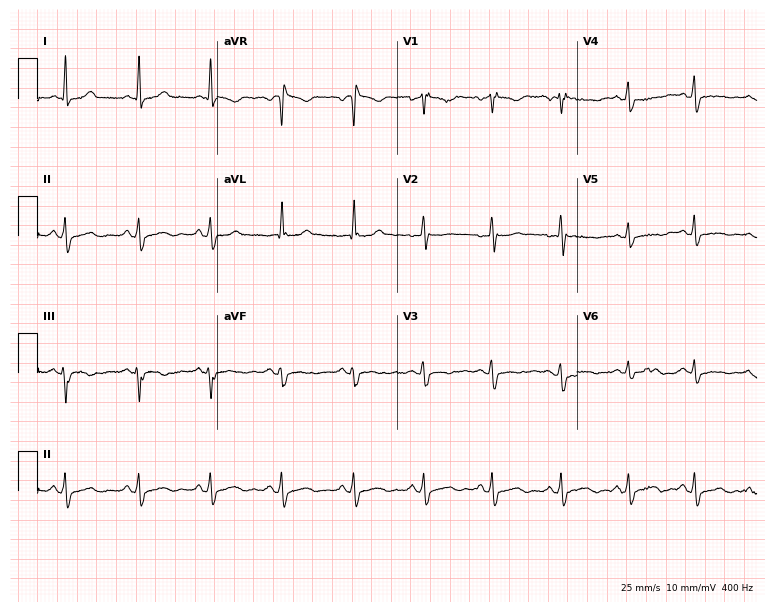
Standard 12-lead ECG recorded from a 37-year-old female patient (7.3-second recording at 400 Hz). None of these six findings is recorded: first-degree AV block, right bundle branch block (RBBB), left bundle branch block (LBBB), sinus bradycardia, atrial fibrillation (AF), sinus tachycardia. Only these six findings were labelled.